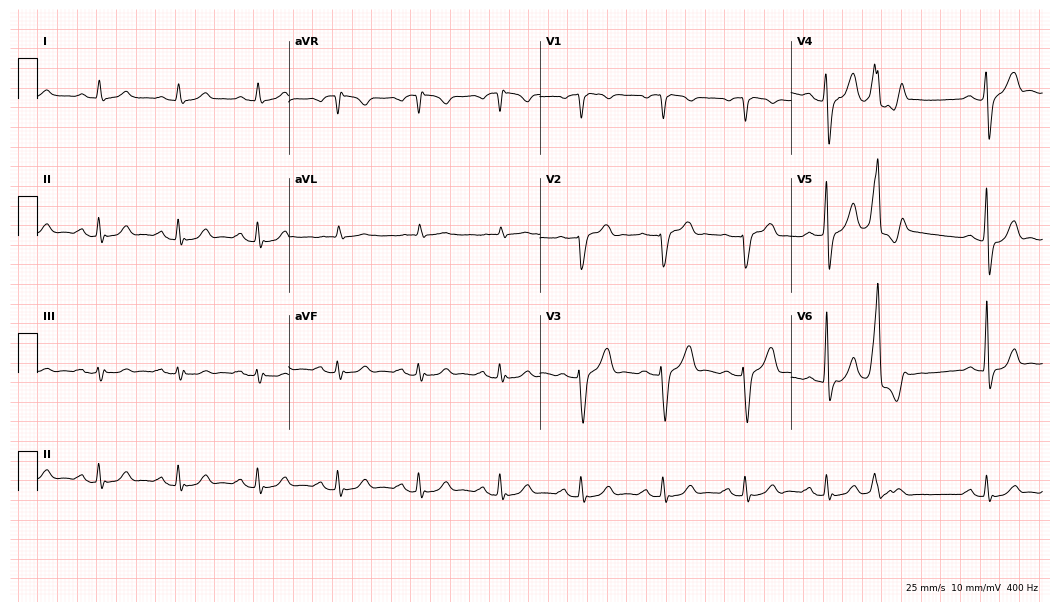
Electrocardiogram, an 82-year-old man. Of the six screened findings (first-degree AV block, right bundle branch block, left bundle branch block, sinus bradycardia, atrial fibrillation, sinus tachycardia), none is recorded.